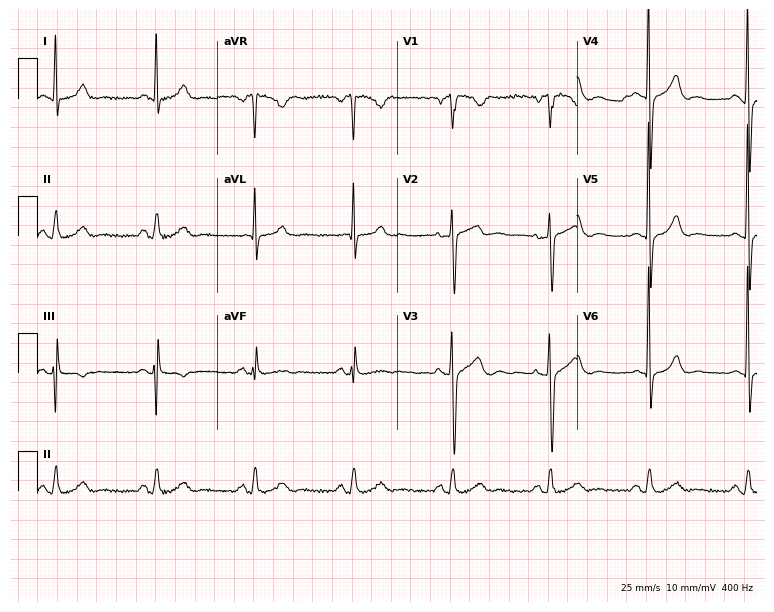
Standard 12-lead ECG recorded from a 70-year-old male (7.3-second recording at 400 Hz). Read as a normal ECG.